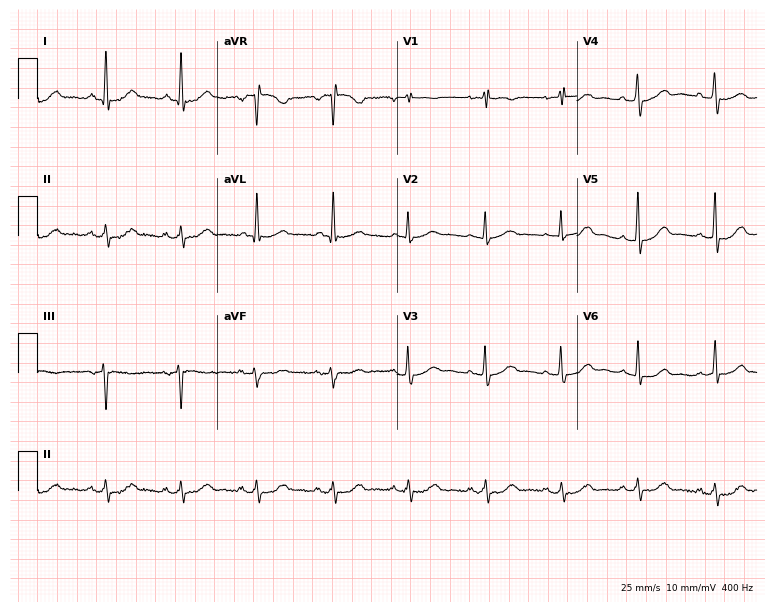
ECG — a female patient, 73 years old. Labelled as a normal ECG.